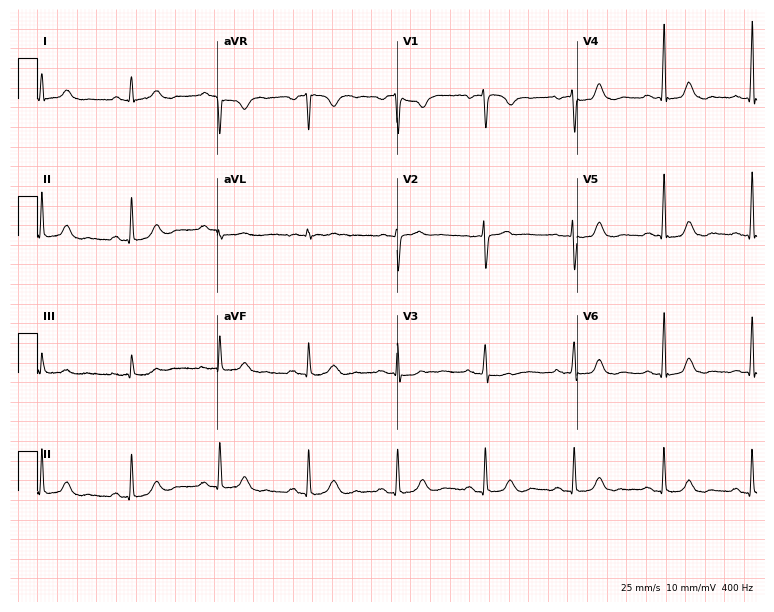
Standard 12-lead ECG recorded from a 64-year-old female (7.3-second recording at 400 Hz). None of these six findings is recorded: first-degree AV block, right bundle branch block, left bundle branch block, sinus bradycardia, atrial fibrillation, sinus tachycardia. Findings outside these six are not listed.